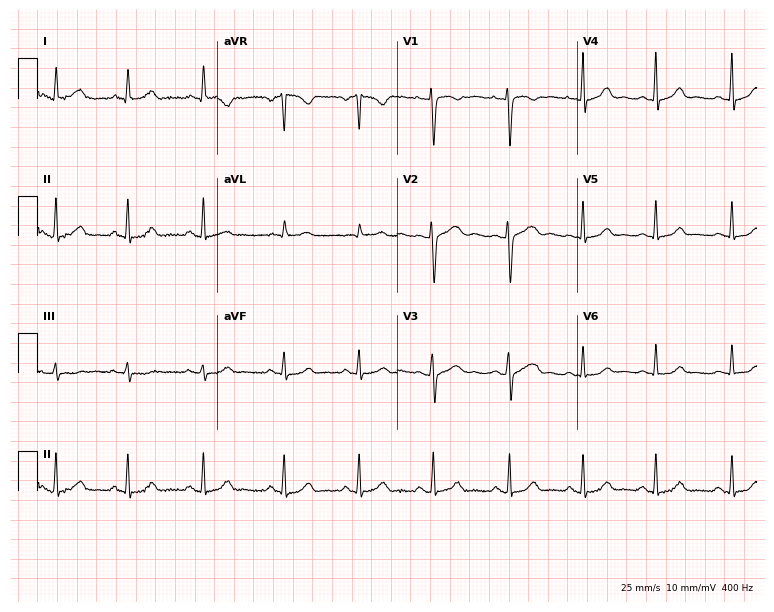
Resting 12-lead electrocardiogram. Patient: a female, 34 years old. Read as a normal ECG.